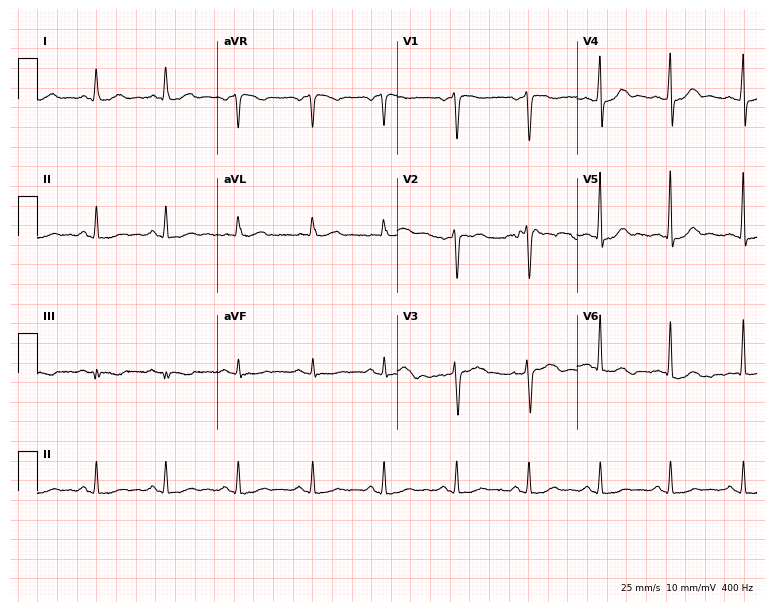
ECG (7.3-second recording at 400 Hz) — a female patient, 34 years old. Labelled as a normal ECG.